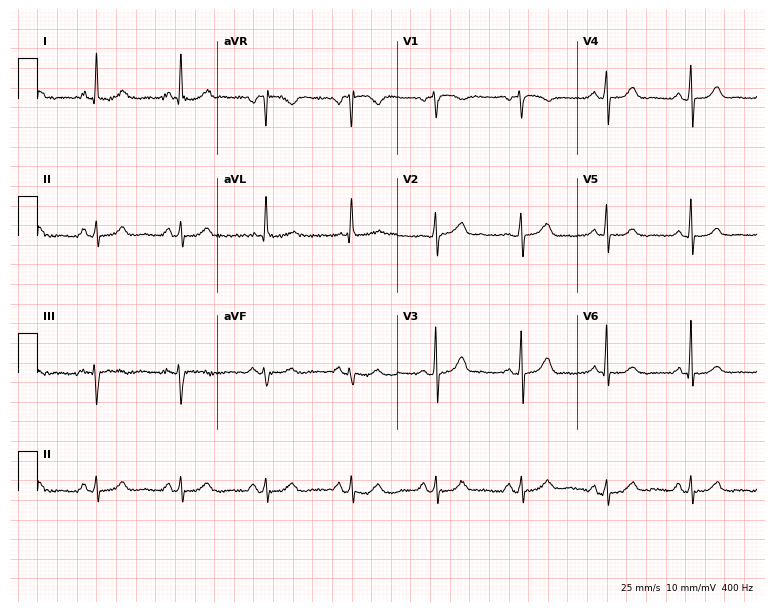
12-lead ECG from an 82-year-old woman (7.3-second recording at 400 Hz). Recorded interpretation: within normal limits.